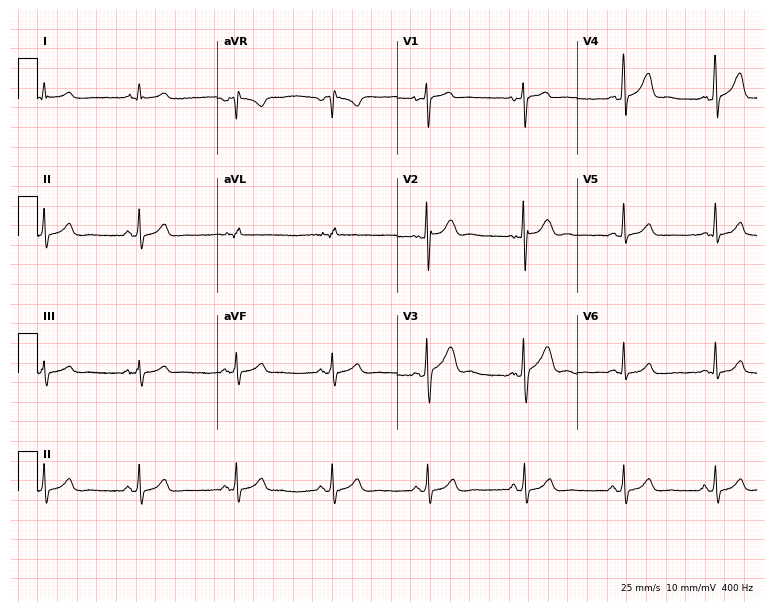
Resting 12-lead electrocardiogram. Patient: a 25-year-old male. Read as a normal ECG.